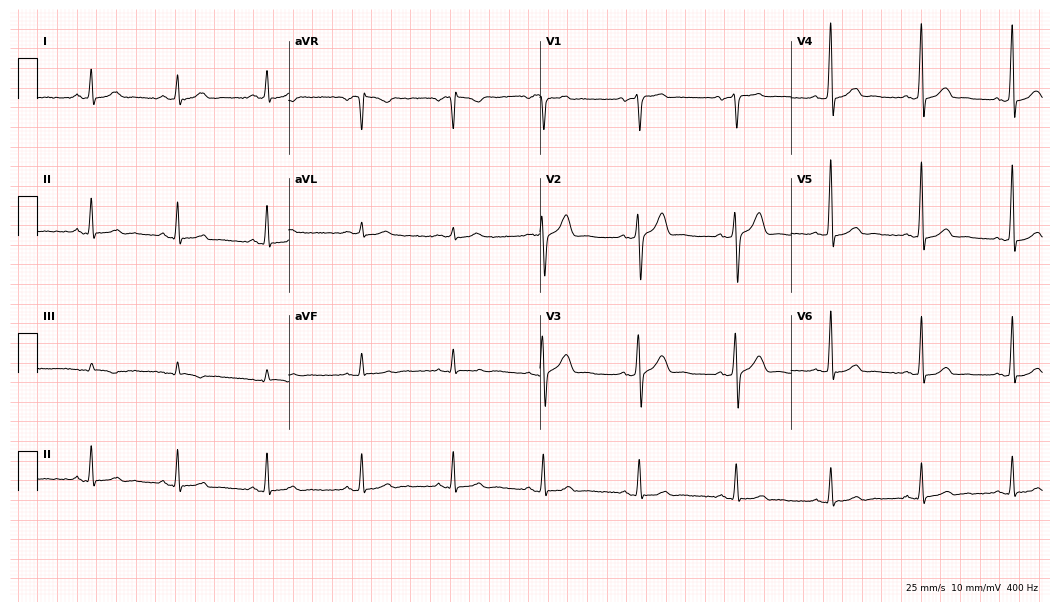
Electrocardiogram, a man, 49 years old. Overall reading on record: normal ECG.